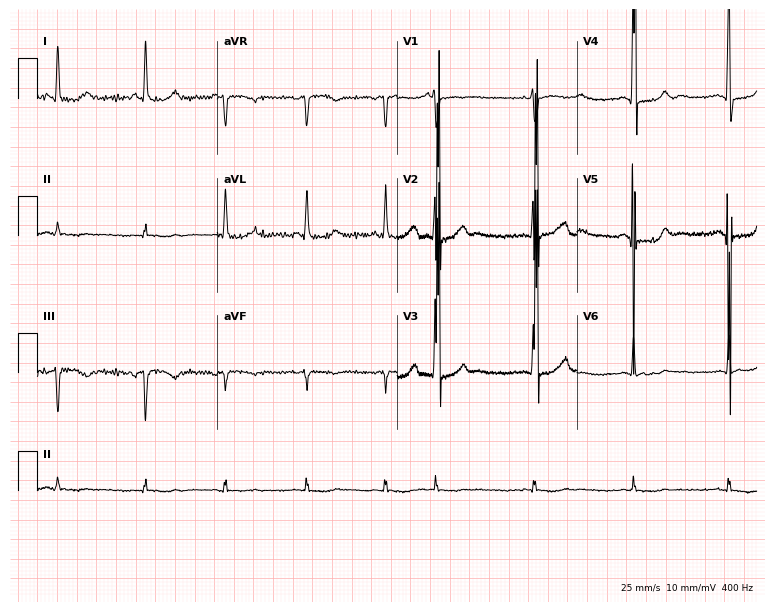
Resting 12-lead electrocardiogram (7.3-second recording at 400 Hz). Patient: a man, 67 years old. None of these six findings is recorded: first-degree AV block, right bundle branch block (RBBB), left bundle branch block (LBBB), sinus bradycardia, atrial fibrillation (AF), sinus tachycardia. Other findings, if any, are not listed.